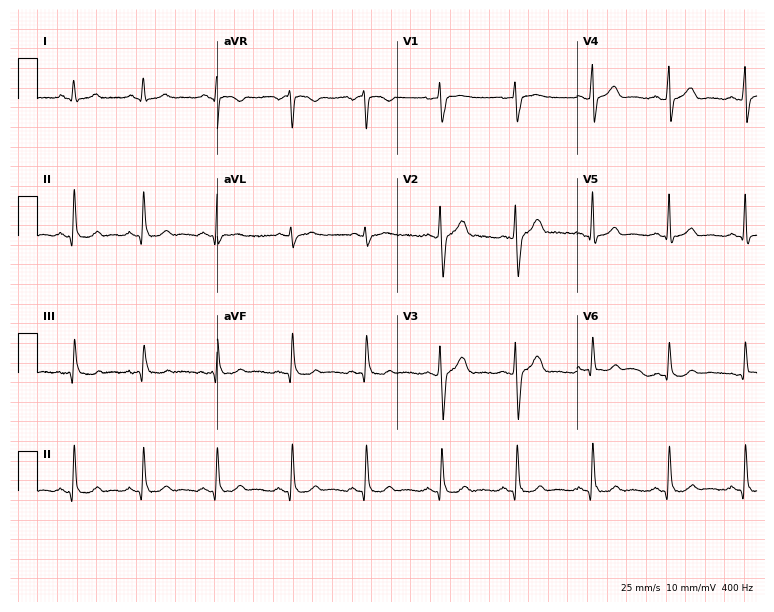
Electrocardiogram (7.3-second recording at 400 Hz), a 34-year-old male. Overall reading on record: normal ECG.